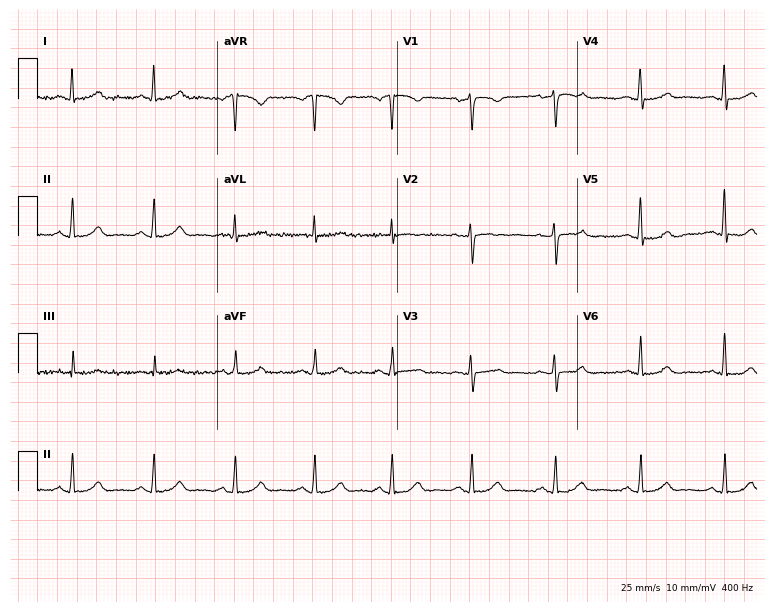
ECG (7.3-second recording at 400 Hz) — a female patient, 48 years old. Screened for six findings — first-degree AV block, right bundle branch block, left bundle branch block, sinus bradycardia, atrial fibrillation, sinus tachycardia — none is recorded.